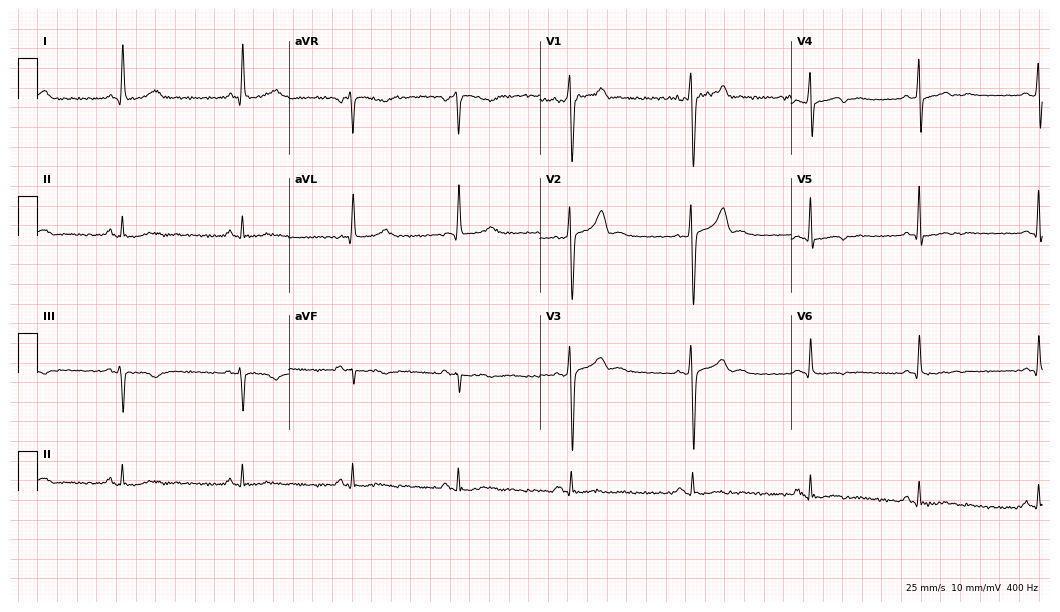
Electrocardiogram (10.2-second recording at 400 Hz), a man, 42 years old. Of the six screened findings (first-degree AV block, right bundle branch block, left bundle branch block, sinus bradycardia, atrial fibrillation, sinus tachycardia), none is recorded.